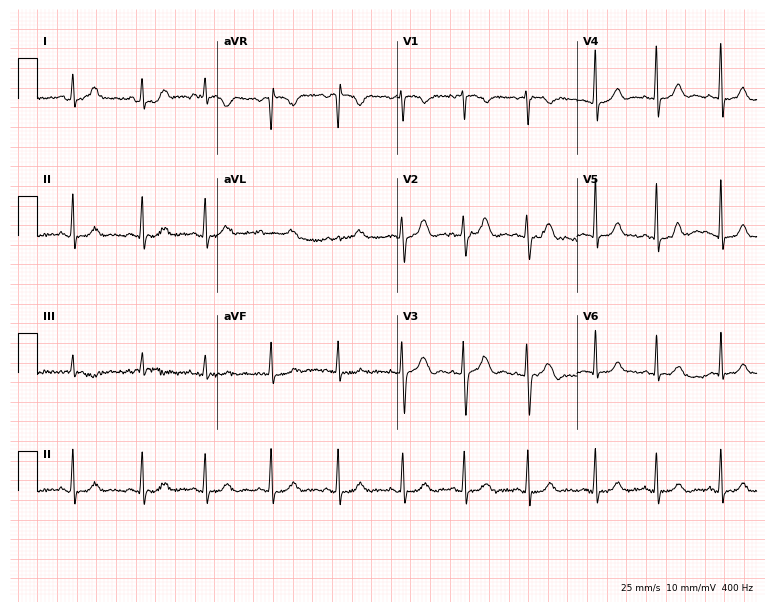
12-lead ECG (7.3-second recording at 400 Hz) from a 20-year-old female. Labelled as a normal ECG.